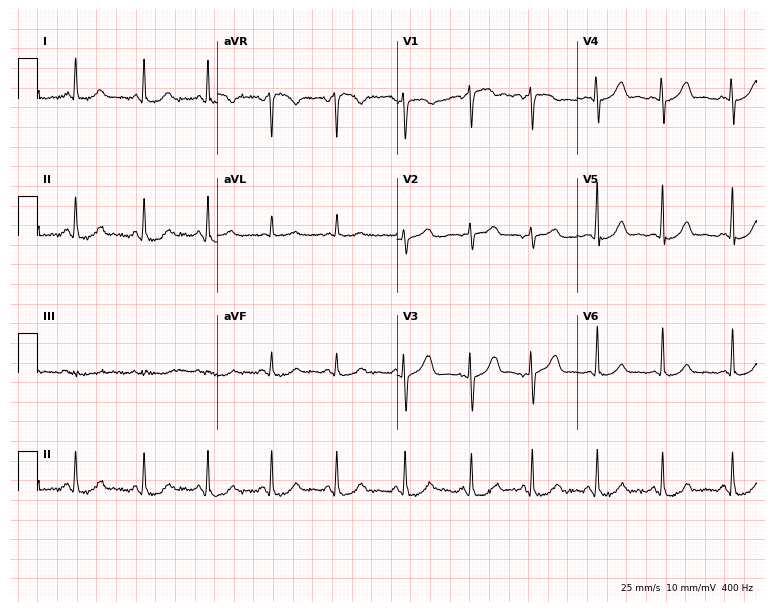
Electrocardiogram (7.3-second recording at 400 Hz), a female, 56 years old. Overall reading on record: normal ECG.